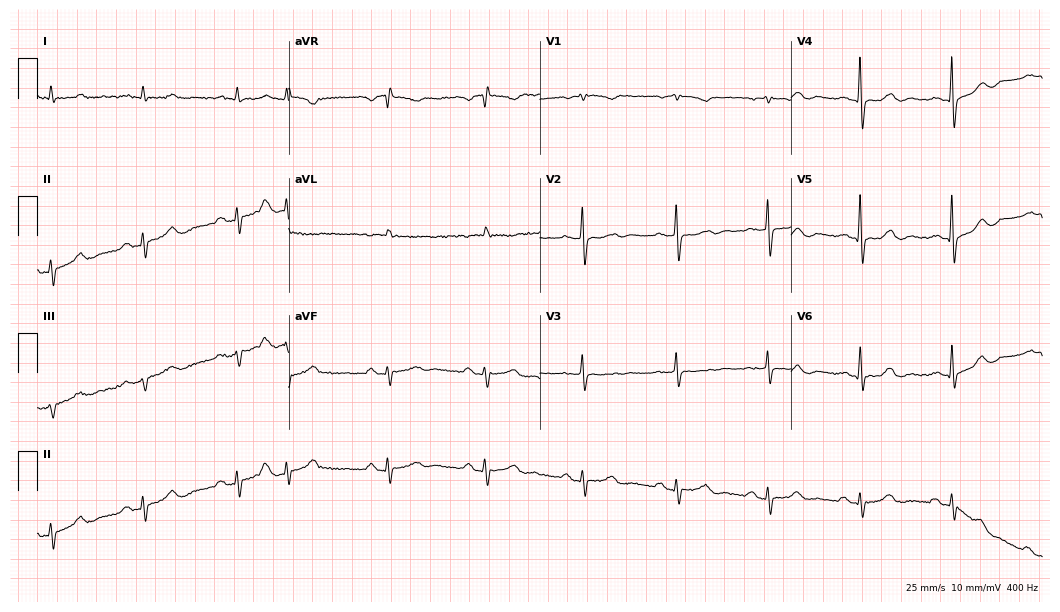
Electrocardiogram, a 71-year-old male patient. Of the six screened findings (first-degree AV block, right bundle branch block, left bundle branch block, sinus bradycardia, atrial fibrillation, sinus tachycardia), none is recorded.